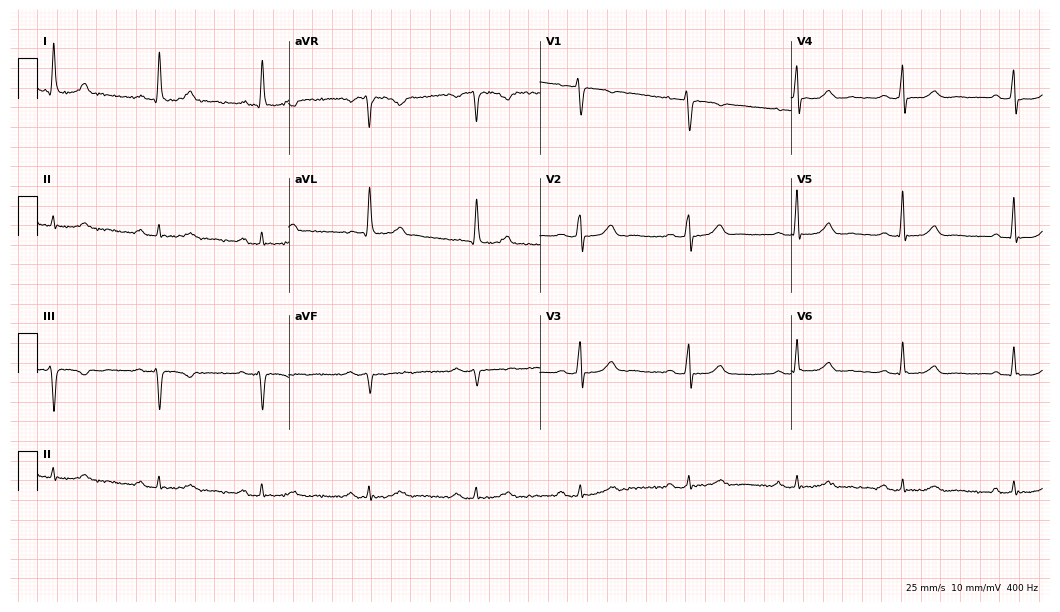
Standard 12-lead ECG recorded from a woman, 62 years old (10.2-second recording at 400 Hz). None of these six findings is recorded: first-degree AV block, right bundle branch block, left bundle branch block, sinus bradycardia, atrial fibrillation, sinus tachycardia.